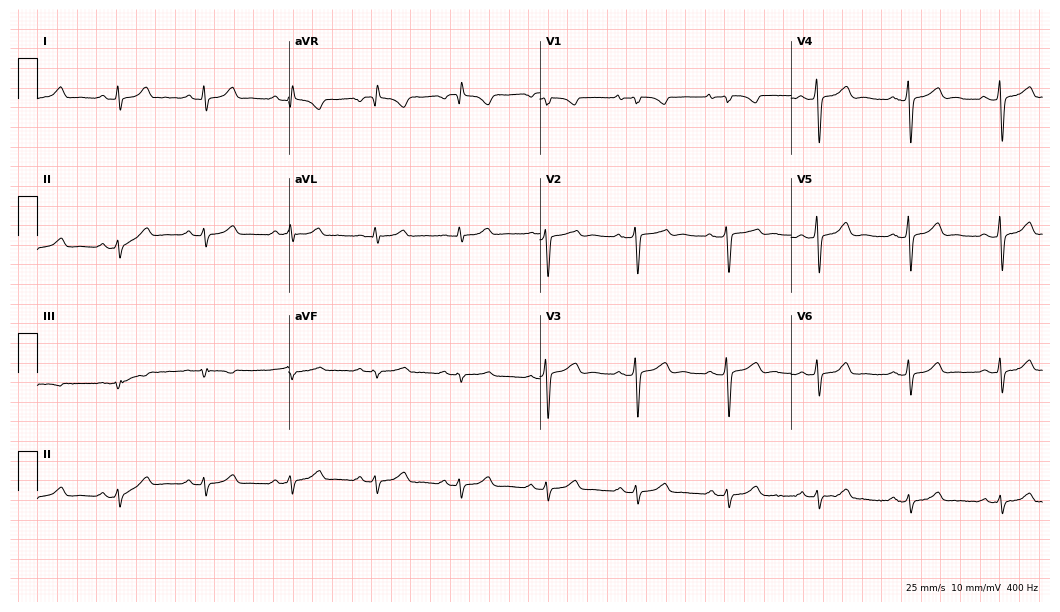
12-lead ECG from a woman, 47 years old. Screened for six findings — first-degree AV block, right bundle branch block, left bundle branch block, sinus bradycardia, atrial fibrillation, sinus tachycardia — none is recorded. Other findings, if any, are not listed.